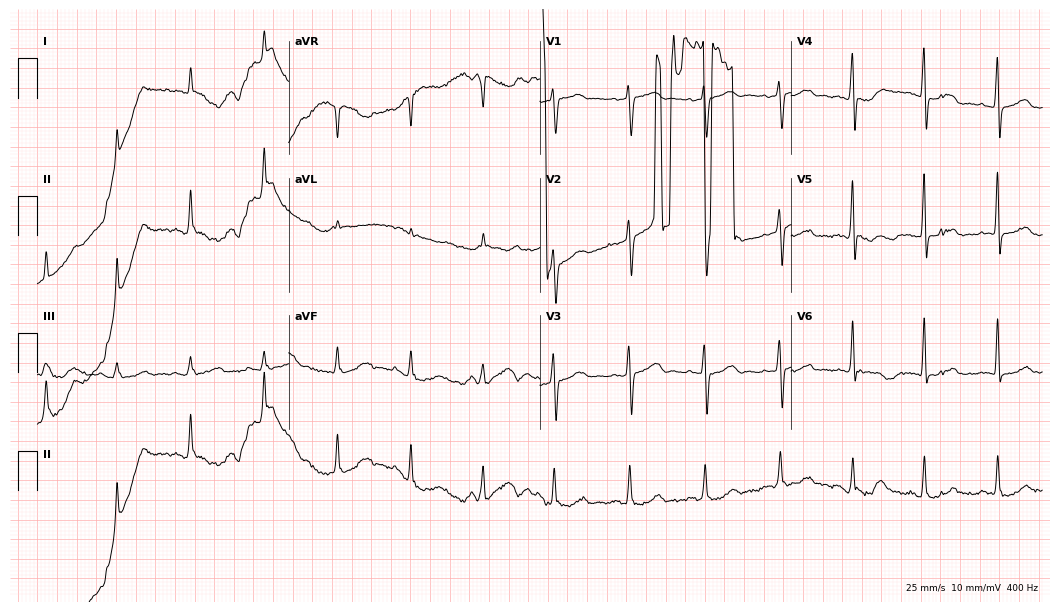
Standard 12-lead ECG recorded from a 78-year-old man (10.2-second recording at 400 Hz). None of these six findings is recorded: first-degree AV block, right bundle branch block, left bundle branch block, sinus bradycardia, atrial fibrillation, sinus tachycardia.